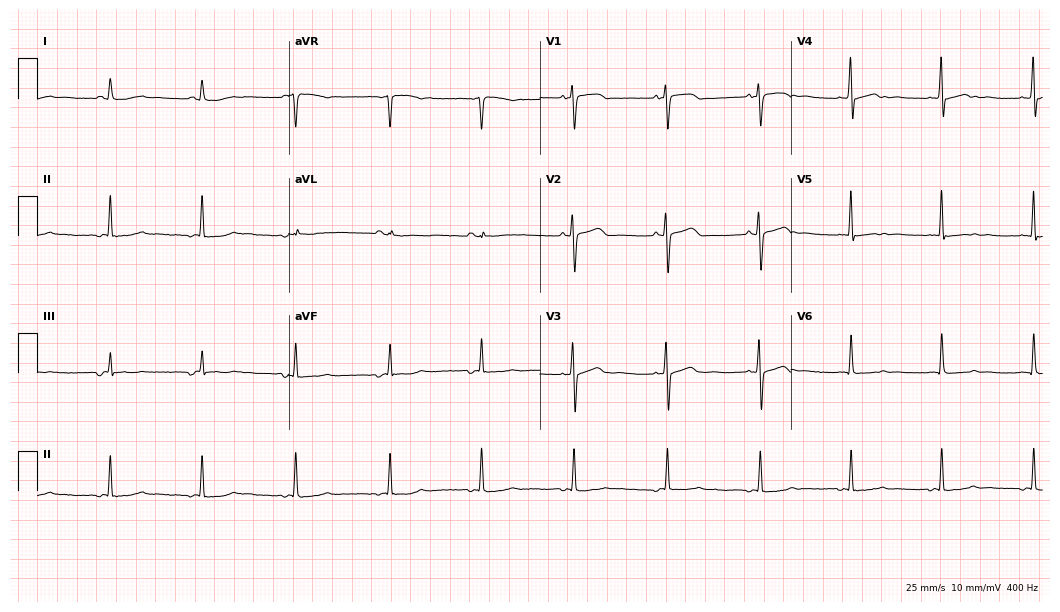
Standard 12-lead ECG recorded from a 68-year-old female patient (10.2-second recording at 400 Hz). None of these six findings is recorded: first-degree AV block, right bundle branch block, left bundle branch block, sinus bradycardia, atrial fibrillation, sinus tachycardia.